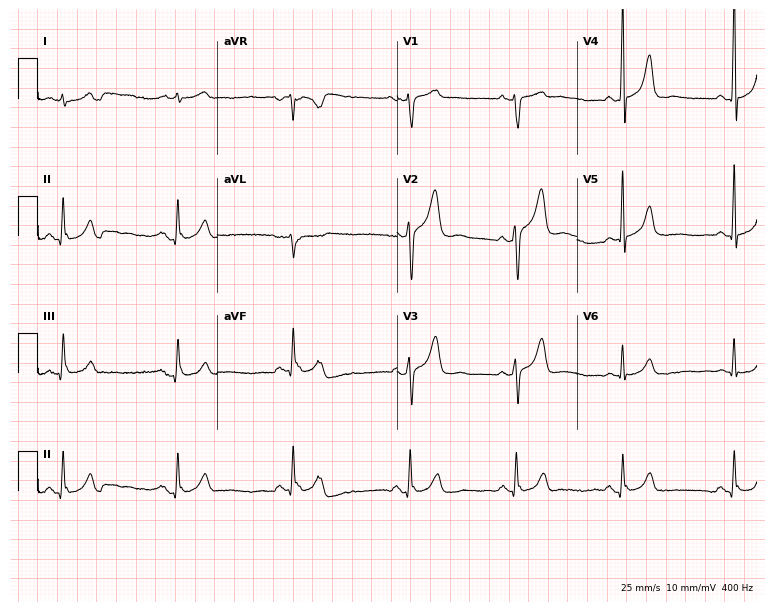
ECG (7.3-second recording at 400 Hz) — a man, 43 years old. Screened for six findings — first-degree AV block, right bundle branch block, left bundle branch block, sinus bradycardia, atrial fibrillation, sinus tachycardia — none is recorded. Only these six findings were labelled.